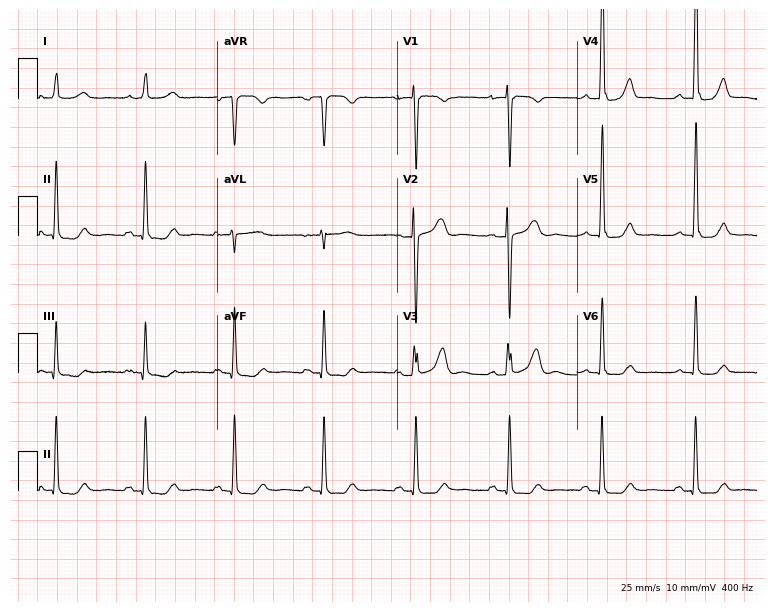
Resting 12-lead electrocardiogram (7.3-second recording at 400 Hz). Patient: a female, 54 years old. None of these six findings is recorded: first-degree AV block, right bundle branch block, left bundle branch block, sinus bradycardia, atrial fibrillation, sinus tachycardia.